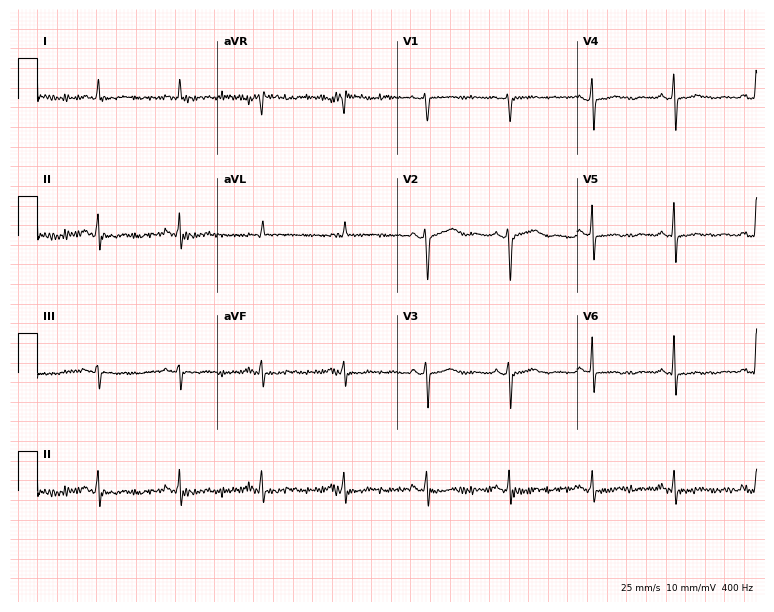
Resting 12-lead electrocardiogram. Patient: a female, 54 years old. None of these six findings is recorded: first-degree AV block, right bundle branch block, left bundle branch block, sinus bradycardia, atrial fibrillation, sinus tachycardia. Only these six findings were labelled.